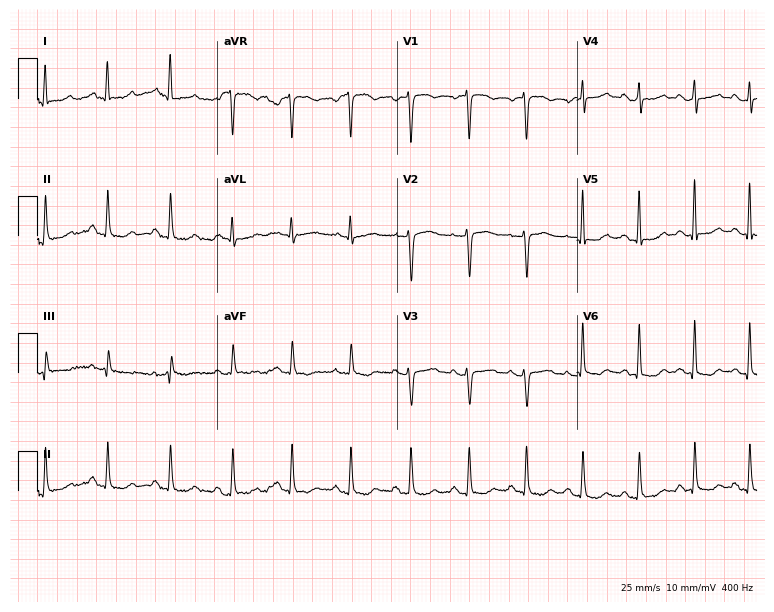
12-lead ECG from a 42-year-old female. Recorded interpretation: within normal limits.